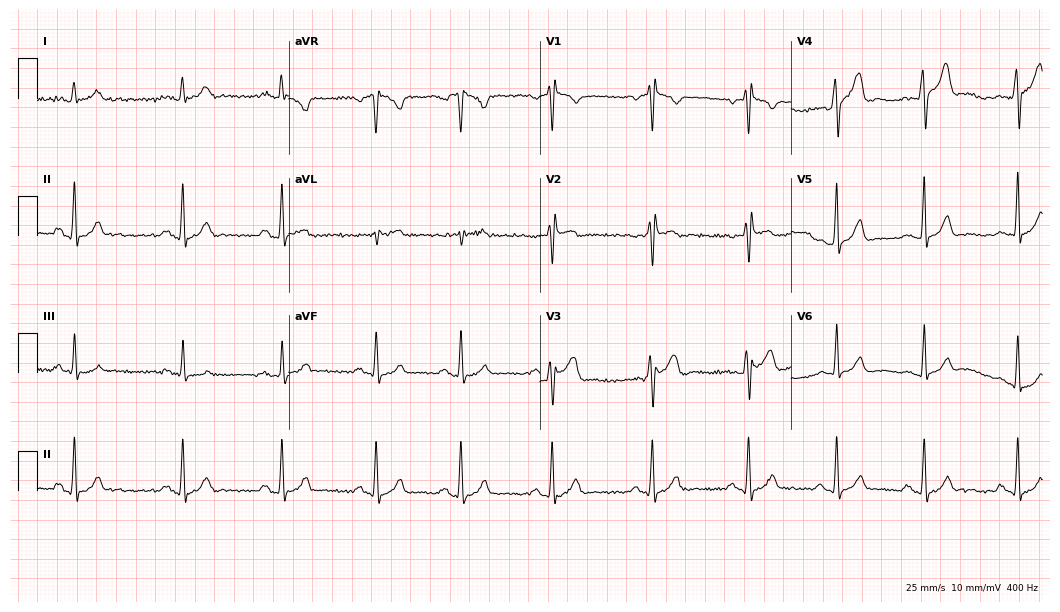
Resting 12-lead electrocardiogram (10.2-second recording at 400 Hz). Patient: a 21-year-old male. None of these six findings is recorded: first-degree AV block, right bundle branch block, left bundle branch block, sinus bradycardia, atrial fibrillation, sinus tachycardia.